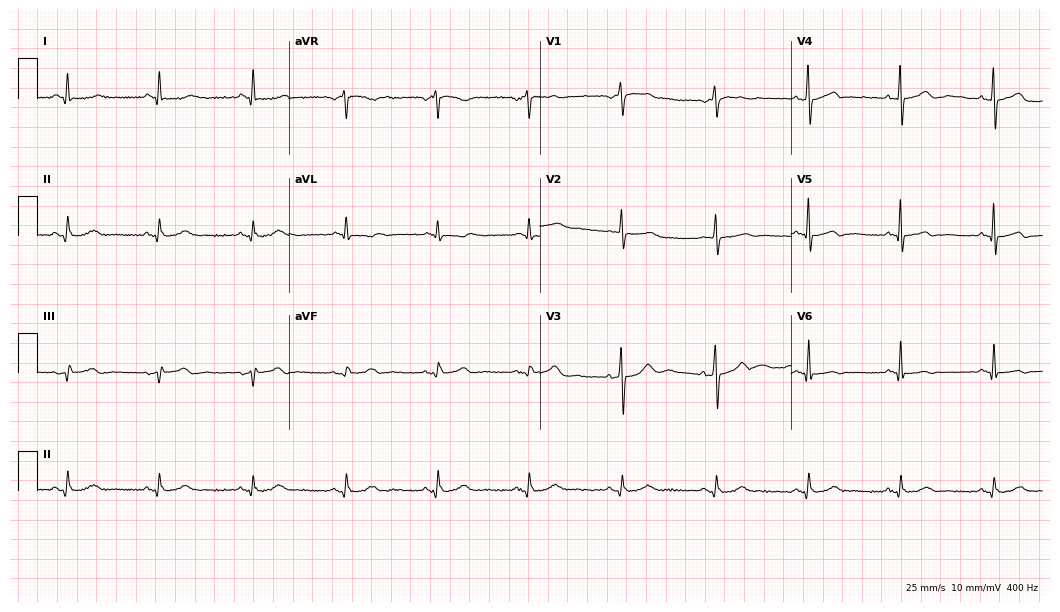
ECG (10.2-second recording at 400 Hz) — a man, 76 years old. Screened for six findings — first-degree AV block, right bundle branch block, left bundle branch block, sinus bradycardia, atrial fibrillation, sinus tachycardia — none is recorded.